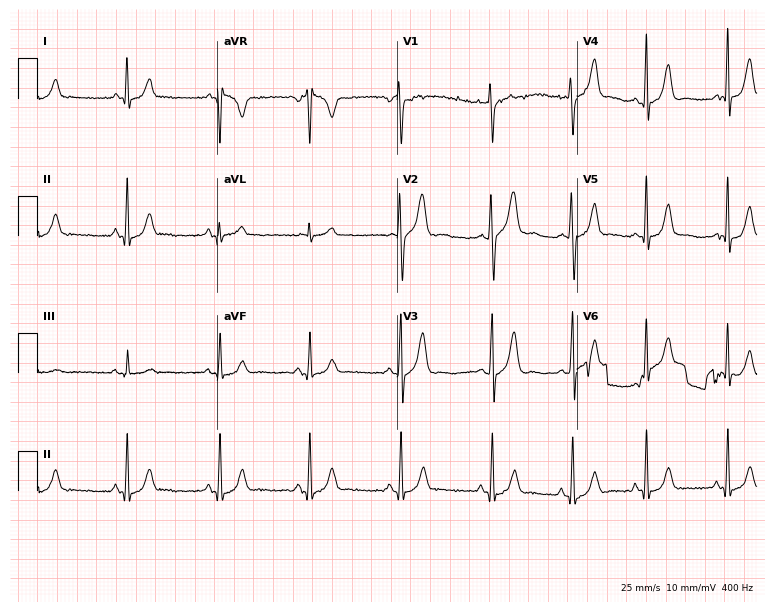
ECG (7.3-second recording at 400 Hz) — a 23-year-old female patient. Screened for six findings — first-degree AV block, right bundle branch block, left bundle branch block, sinus bradycardia, atrial fibrillation, sinus tachycardia — none is recorded. Findings outside these six are not listed.